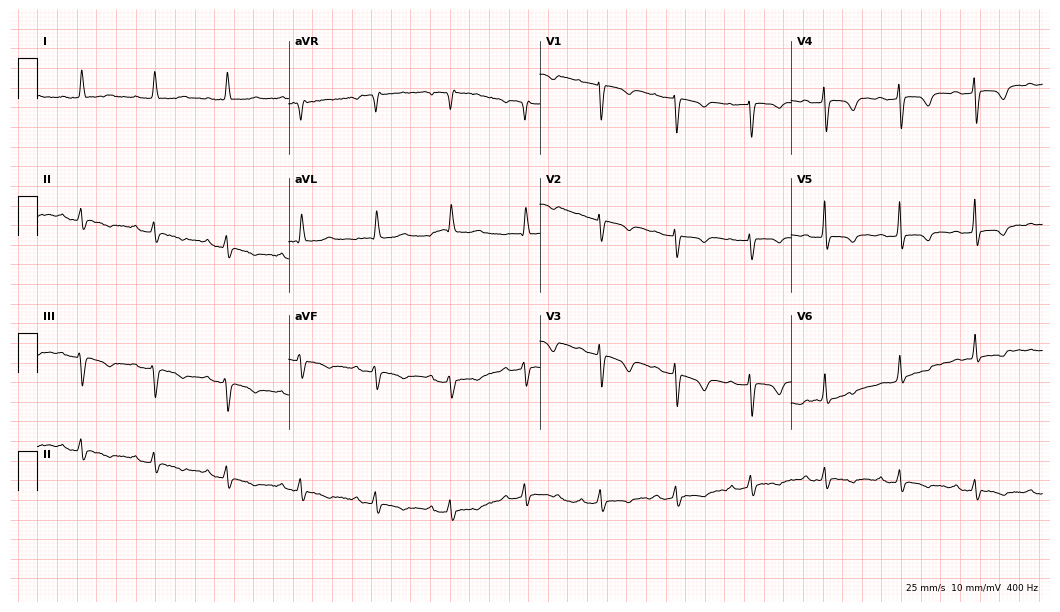
Standard 12-lead ECG recorded from a female patient, 84 years old (10.2-second recording at 400 Hz). None of these six findings is recorded: first-degree AV block, right bundle branch block (RBBB), left bundle branch block (LBBB), sinus bradycardia, atrial fibrillation (AF), sinus tachycardia.